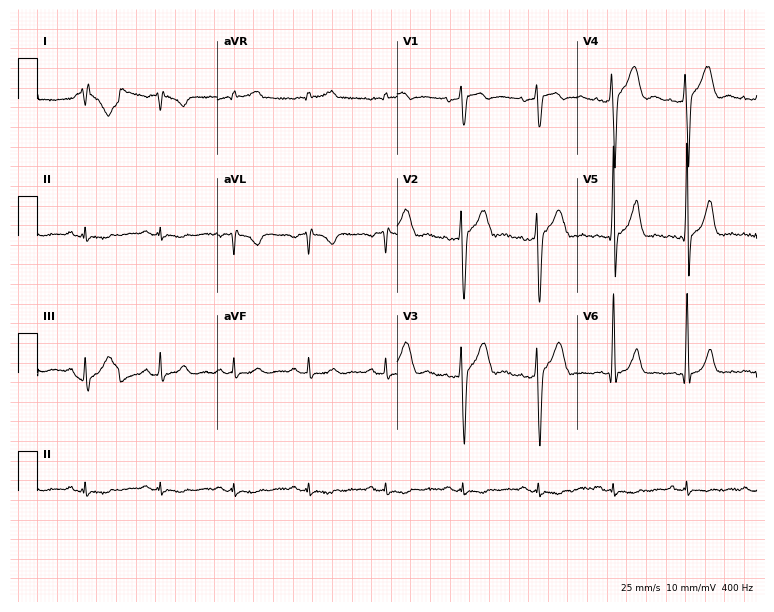
ECG (7.3-second recording at 400 Hz) — a man, 33 years old. Screened for six findings — first-degree AV block, right bundle branch block (RBBB), left bundle branch block (LBBB), sinus bradycardia, atrial fibrillation (AF), sinus tachycardia — none is recorded.